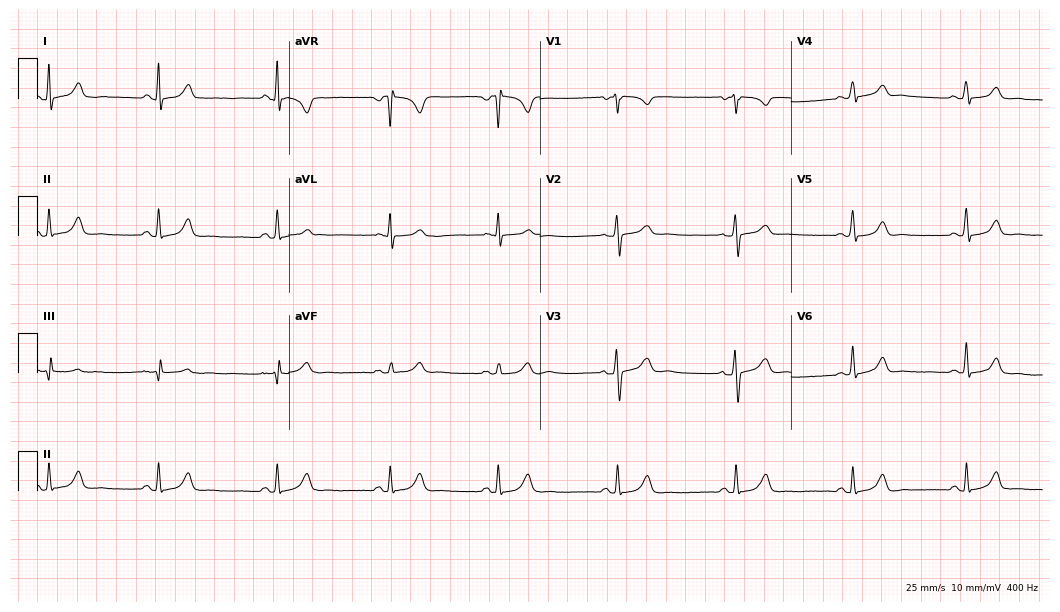
ECG — a 20-year-old female. Labelled as a normal ECG.